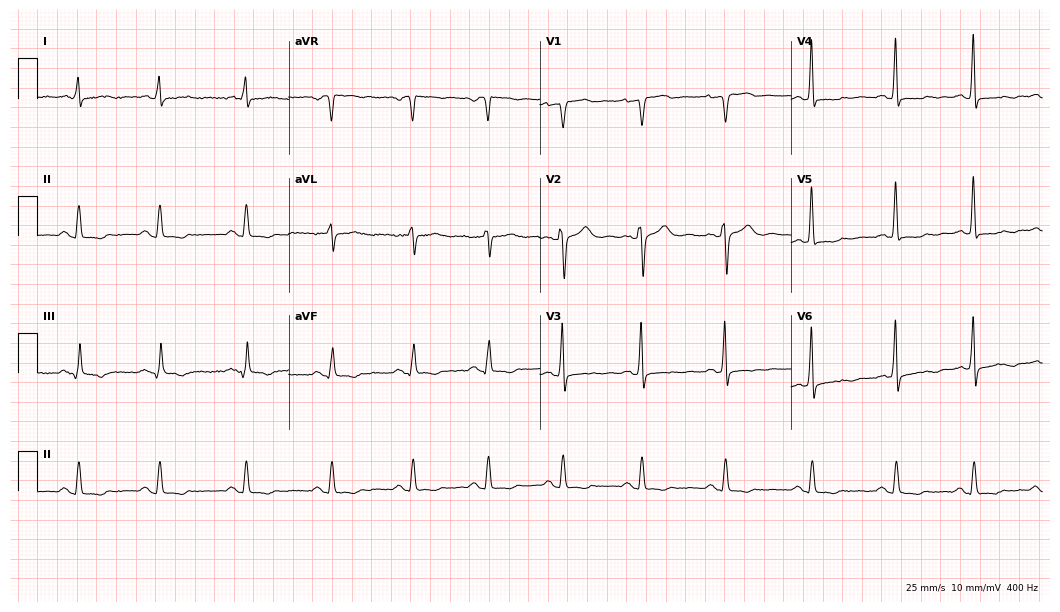
Standard 12-lead ECG recorded from a 65-year-old female. None of these six findings is recorded: first-degree AV block, right bundle branch block, left bundle branch block, sinus bradycardia, atrial fibrillation, sinus tachycardia. Findings outside these six are not listed.